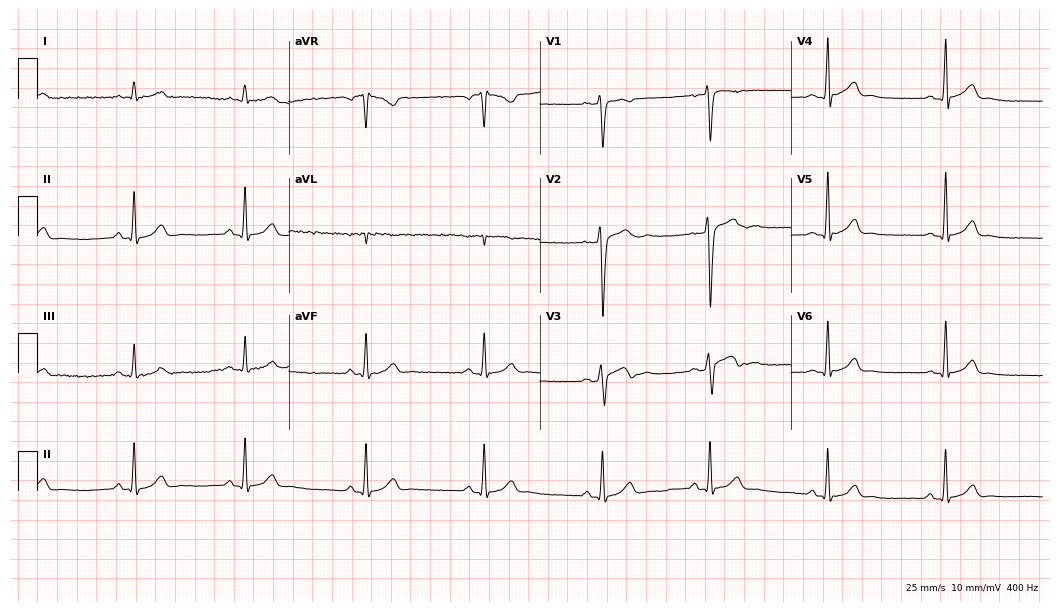
Standard 12-lead ECG recorded from a man, 22 years old. Read as a normal ECG.